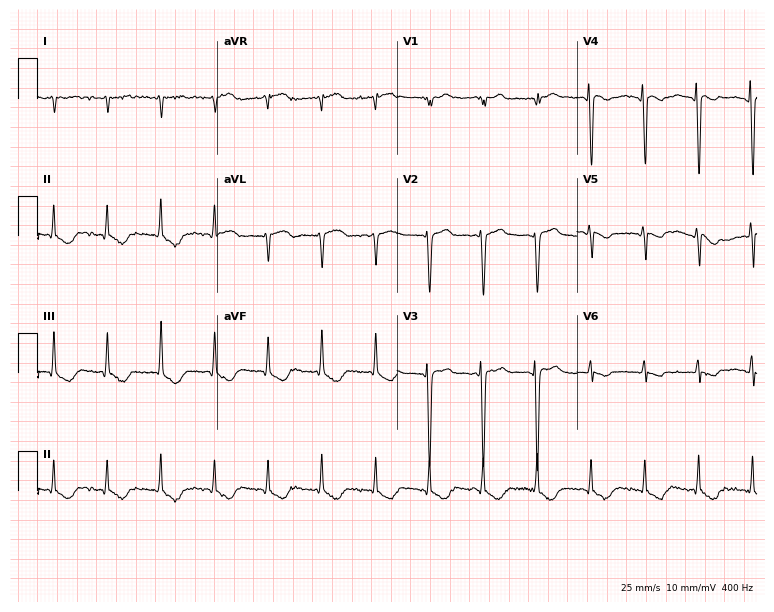
Standard 12-lead ECG recorded from a female, 68 years old (7.3-second recording at 400 Hz). None of these six findings is recorded: first-degree AV block, right bundle branch block, left bundle branch block, sinus bradycardia, atrial fibrillation, sinus tachycardia.